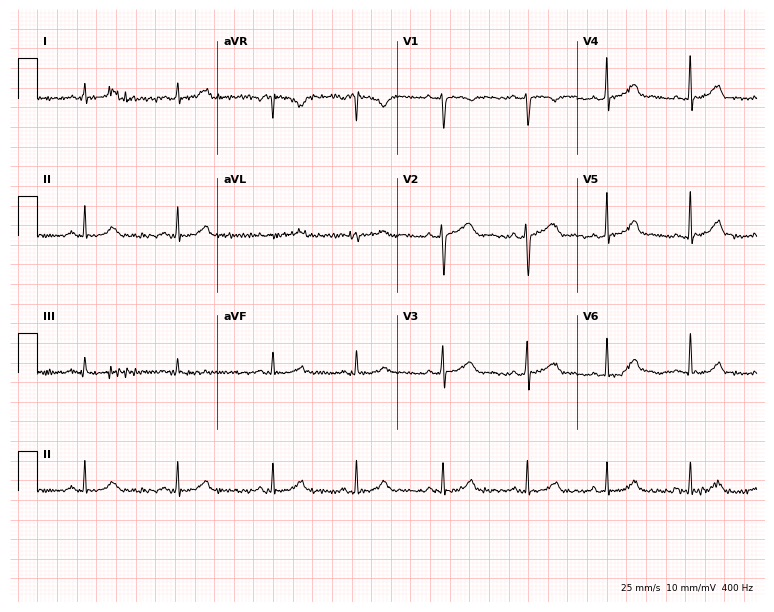
Standard 12-lead ECG recorded from an 18-year-old woman (7.3-second recording at 400 Hz). None of these six findings is recorded: first-degree AV block, right bundle branch block, left bundle branch block, sinus bradycardia, atrial fibrillation, sinus tachycardia.